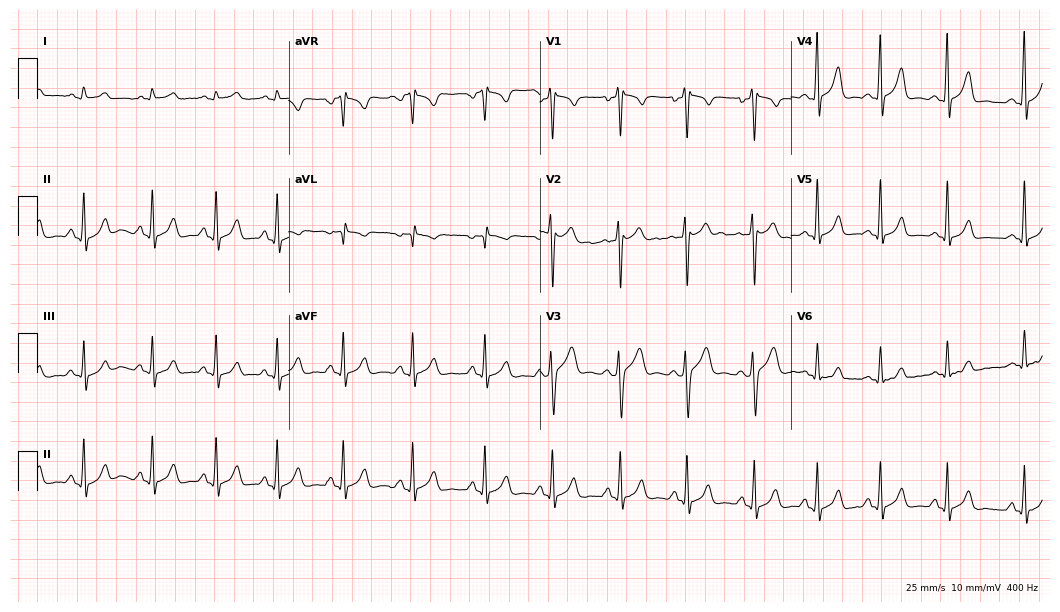
ECG (10.2-second recording at 400 Hz) — a 19-year-old male. Screened for six findings — first-degree AV block, right bundle branch block (RBBB), left bundle branch block (LBBB), sinus bradycardia, atrial fibrillation (AF), sinus tachycardia — none is recorded.